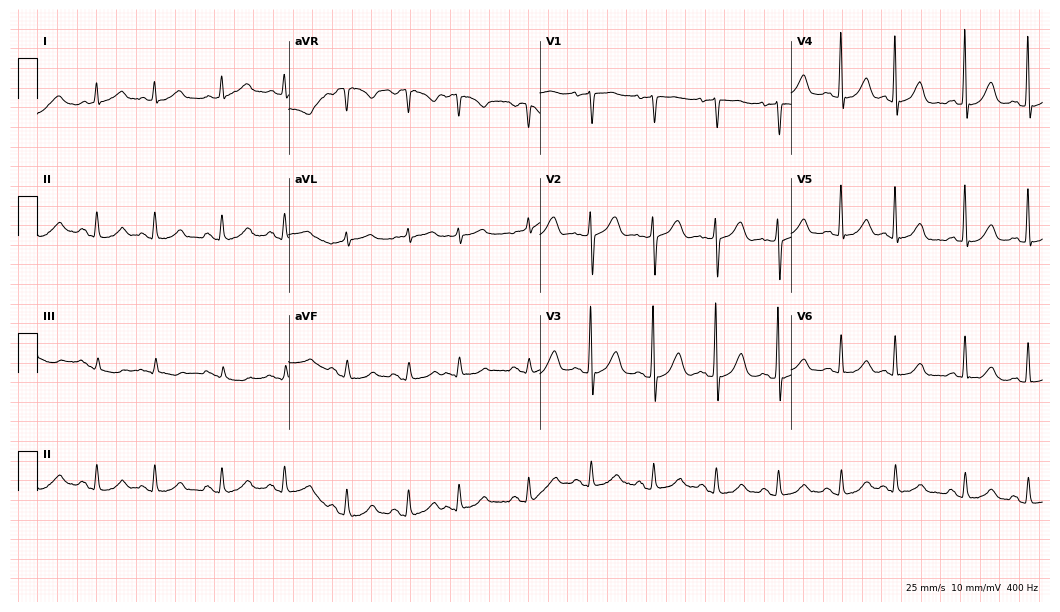
ECG (10.2-second recording at 400 Hz) — a female patient, 76 years old. Screened for six findings — first-degree AV block, right bundle branch block (RBBB), left bundle branch block (LBBB), sinus bradycardia, atrial fibrillation (AF), sinus tachycardia — none is recorded. Only these six findings were labelled.